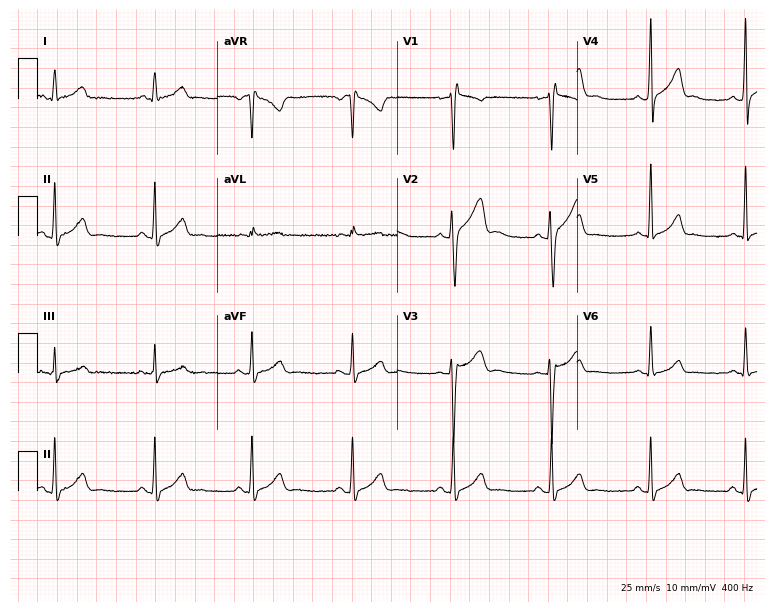
Resting 12-lead electrocardiogram (7.3-second recording at 400 Hz). Patient: a 26-year-old male. Read as a normal ECG.